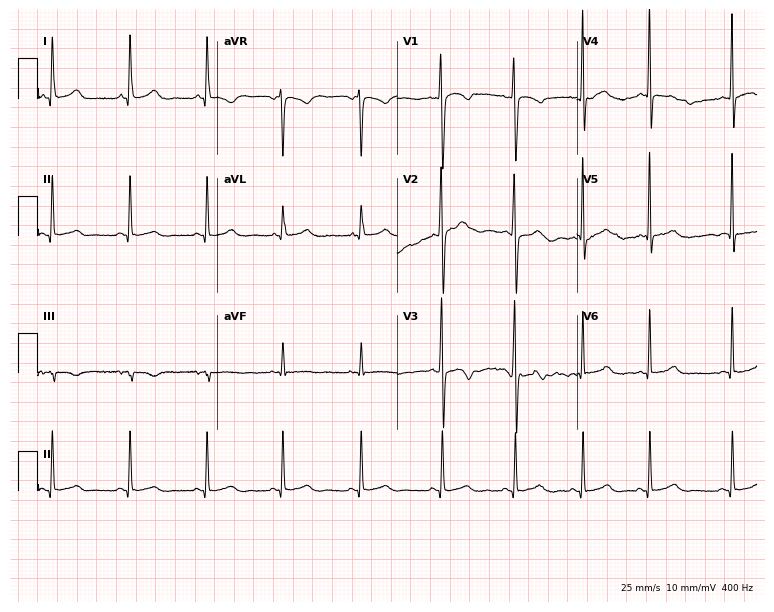
ECG (7.3-second recording at 400 Hz) — an 18-year-old female. Labelled as a normal ECG.